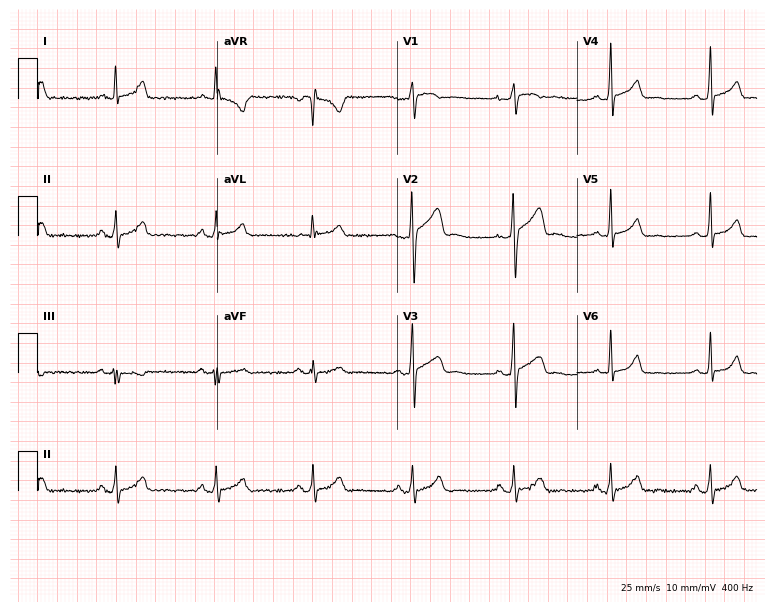
Standard 12-lead ECG recorded from a 28-year-old male patient. Read as a normal ECG.